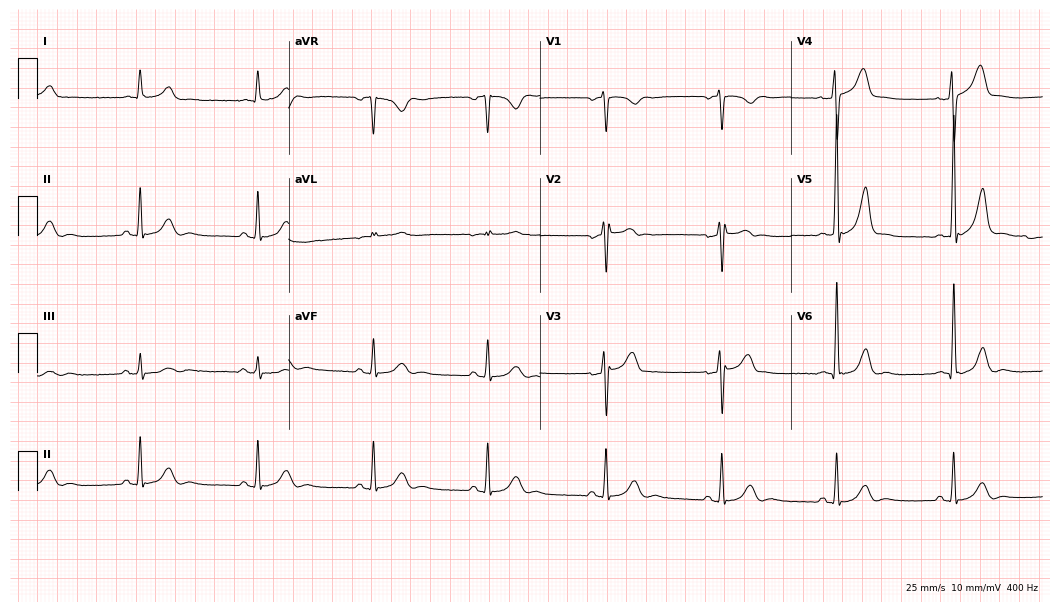
Electrocardiogram, a 71-year-old man. Overall reading on record: normal ECG.